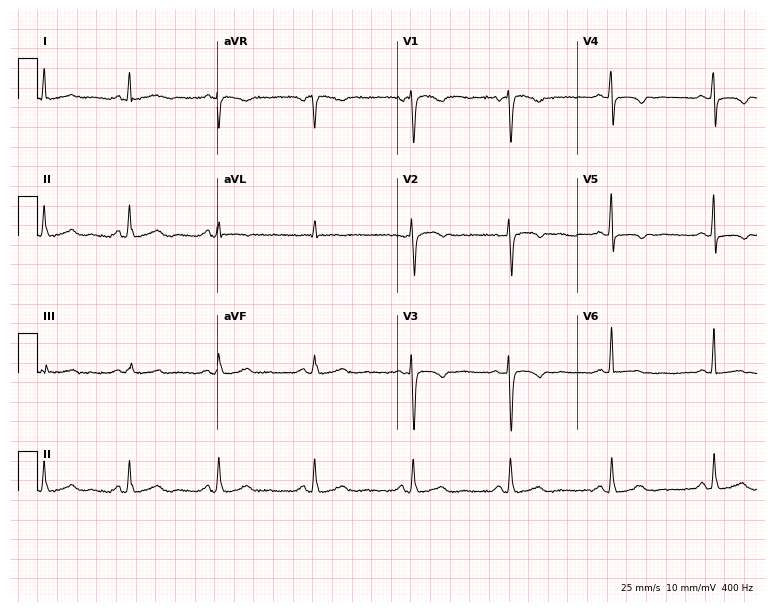
12-lead ECG from a 53-year-old female (7.3-second recording at 400 Hz). No first-degree AV block, right bundle branch block (RBBB), left bundle branch block (LBBB), sinus bradycardia, atrial fibrillation (AF) or sinus tachycardia recorded for this tracing.